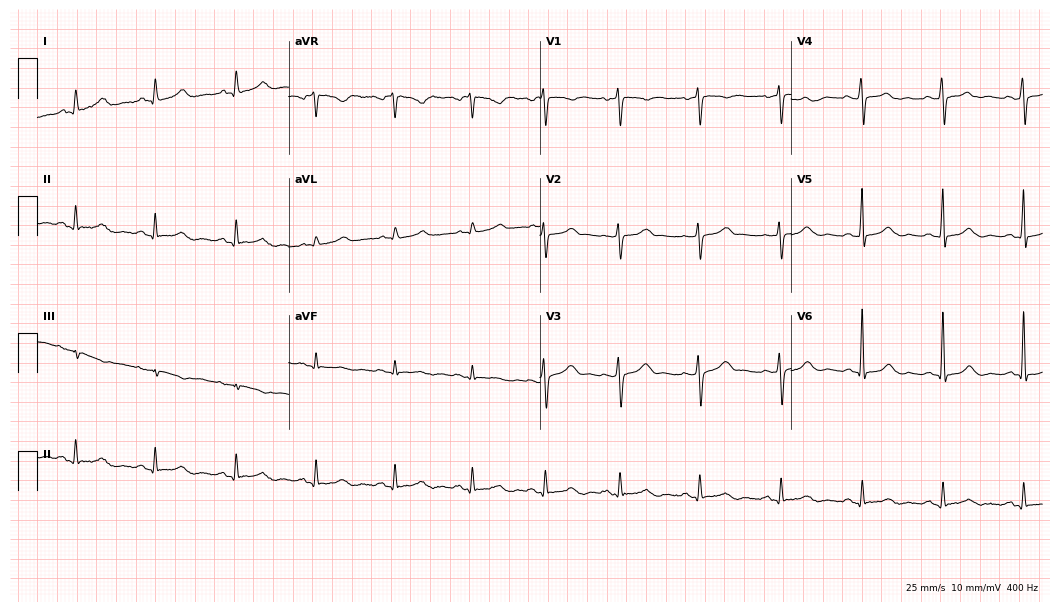
ECG (10.2-second recording at 400 Hz) — a female, 41 years old. Labelled as a normal ECG.